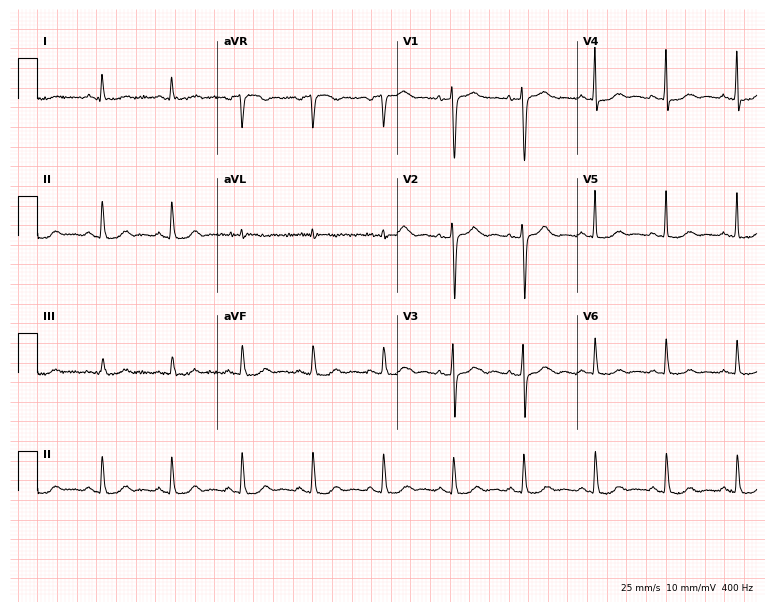
12-lead ECG from a female patient, 77 years old. No first-degree AV block, right bundle branch block (RBBB), left bundle branch block (LBBB), sinus bradycardia, atrial fibrillation (AF) or sinus tachycardia recorded for this tracing.